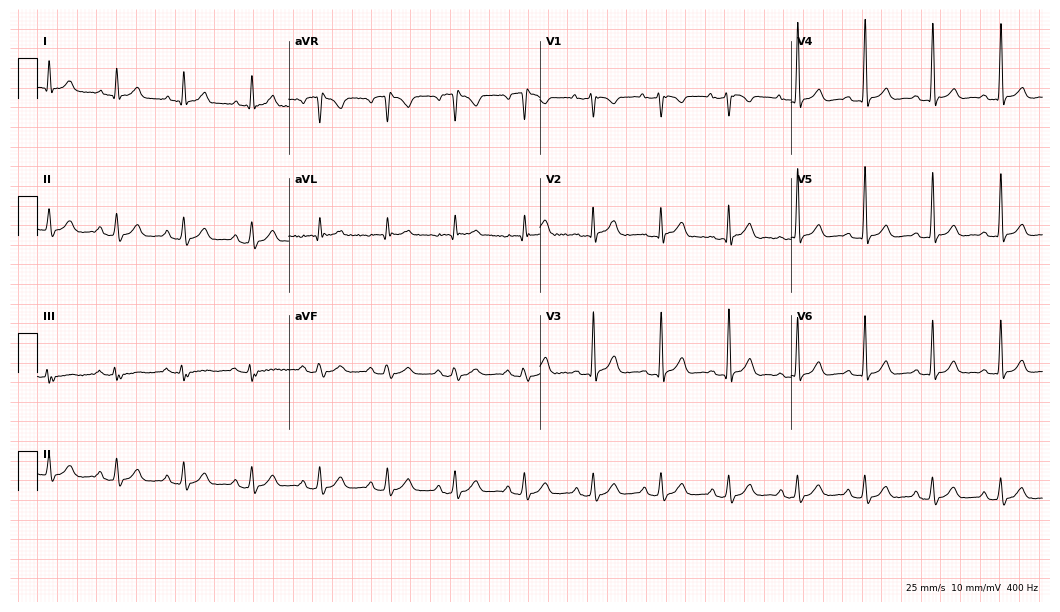
Electrocardiogram, a 62-year-old man. Of the six screened findings (first-degree AV block, right bundle branch block, left bundle branch block, sinus bradycardia, atrial fibrillation, sinus tachycardia), none is recorded.